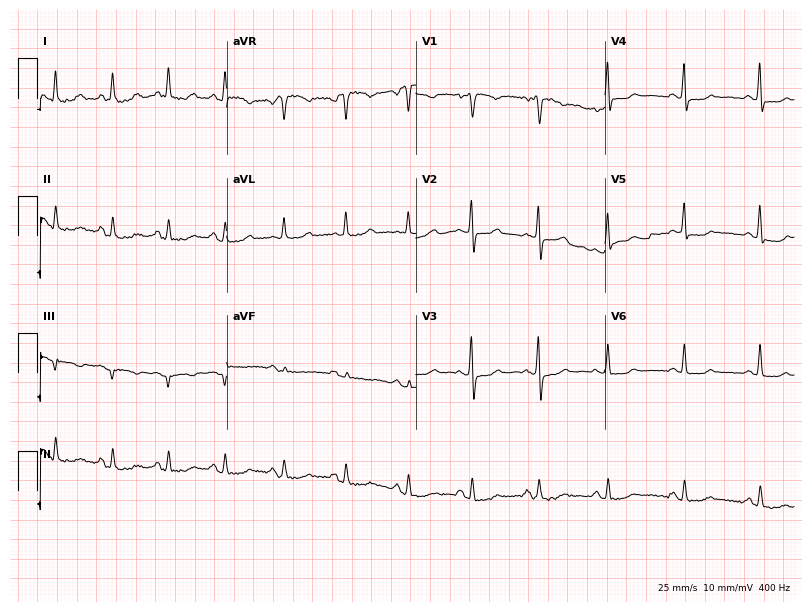
Electrocardiogram (7.7-second recording at 400 Hz), a female patient, 62 years old. Of the six screened findings (first-degree AV block, right bundle branch block, left bundle branch block, sinus bradycardia, atrial fibrillation, sinus tachycardia), none is recorded. Only these six findings were labelled.